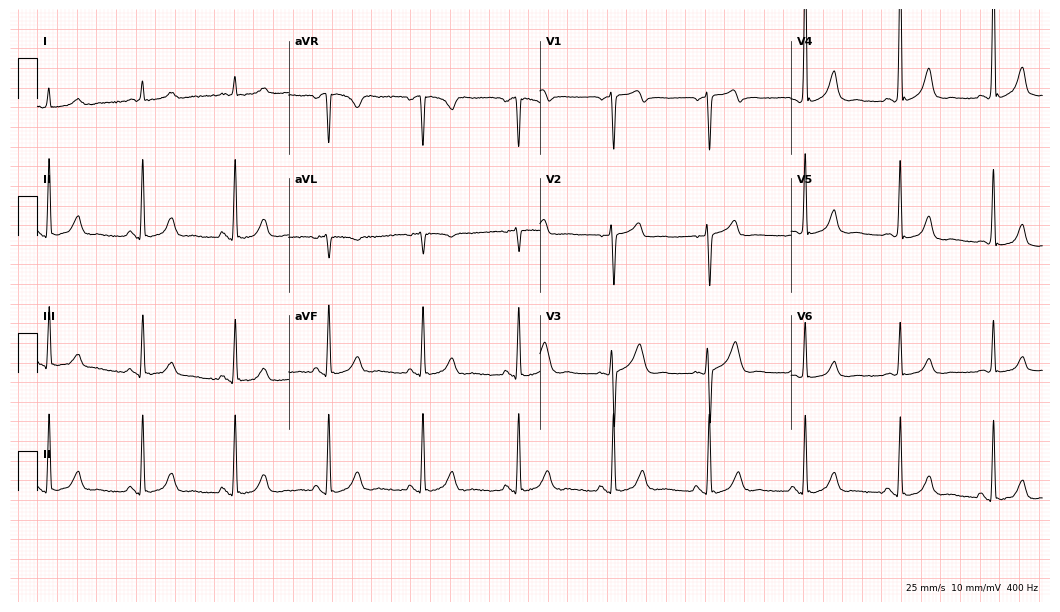
ECG — a male, 54 years old. Labelled as a normal ECG.